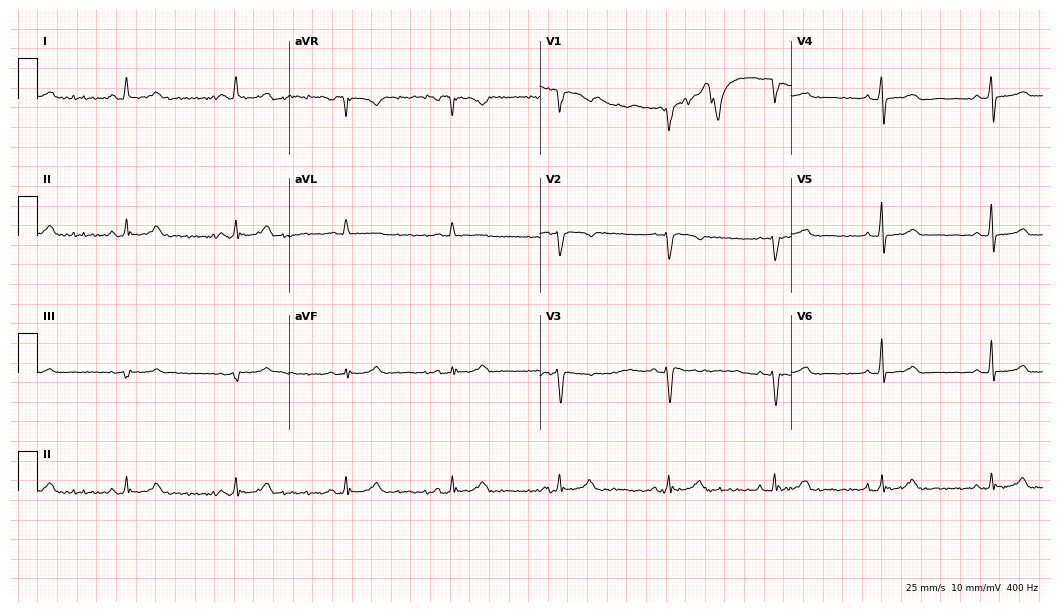
Resting 12-lead electrocardiogram (10.2-second recording at 400 Hz). Patient: a male, 59 years old. None of these six findings is recorded: first-degree AV block, right bundle branch block, left bundle branch block, sinus bradycardia, atrial fibrillation, sinus tachycardia.